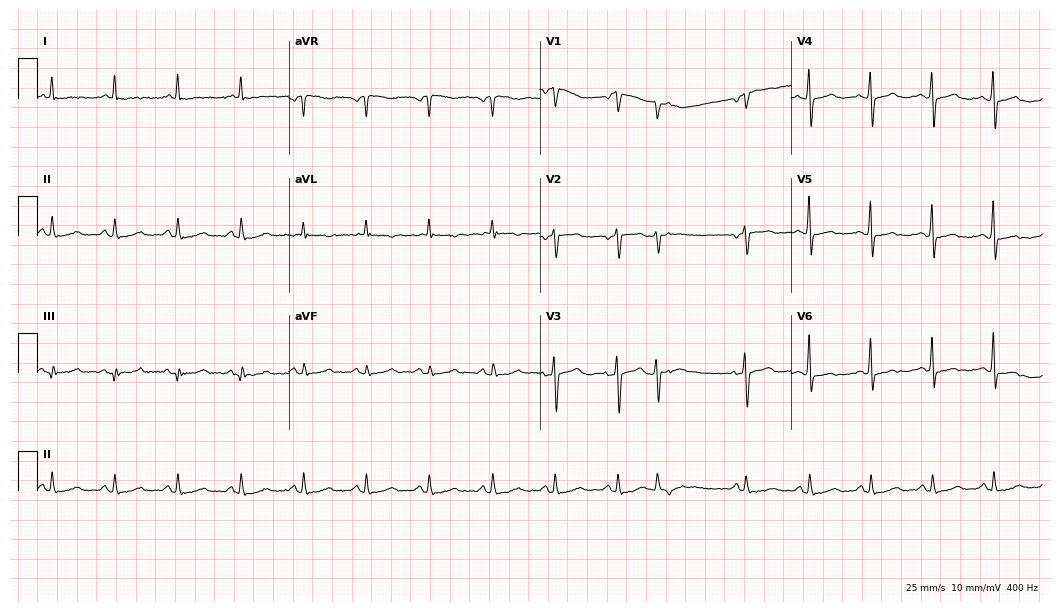
Standard 12-lead ECG recorded from an 85-year-old woman (10.2-second recording at 400 Hz). None of these six findings is recorded: first-degree AV block, right bundle branch block (RBBB), left bundle branch block (LBBB), sinus bradycardia, atrial fibrillation (AF), sinus tachycardia.